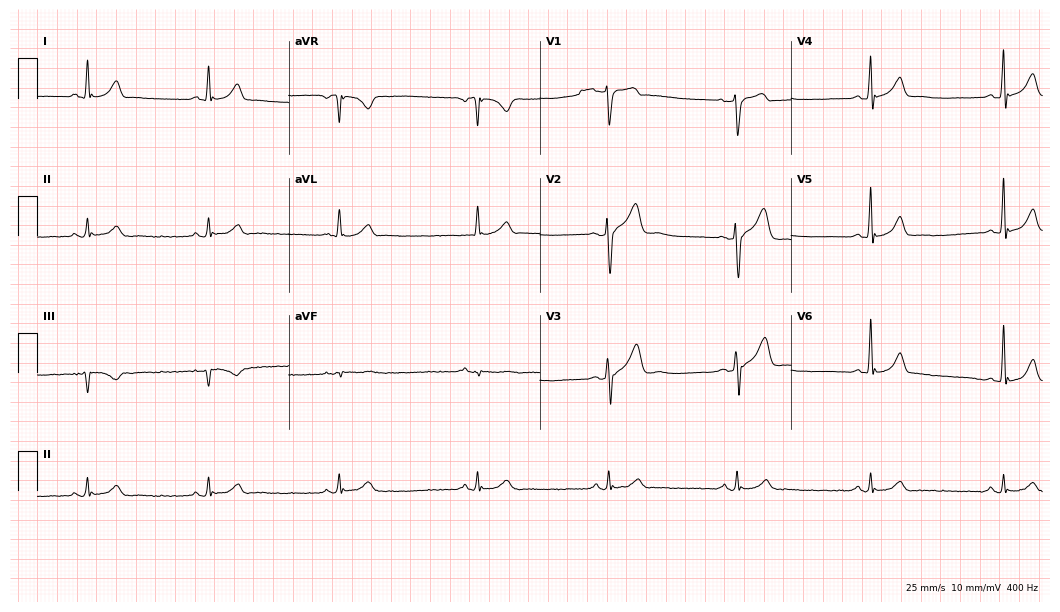
12-lead ECG (10.2-second recording at 400 Hz) from a 53-year-old male. Screened for six findings — first-degree AV block, right bundle branch block (RBBB), left bundle branch block (LBBB), sinus bradycardia, atrial fibrillation (AF), sinus tachycardia — none is recorded. Only these six findings were labelled.